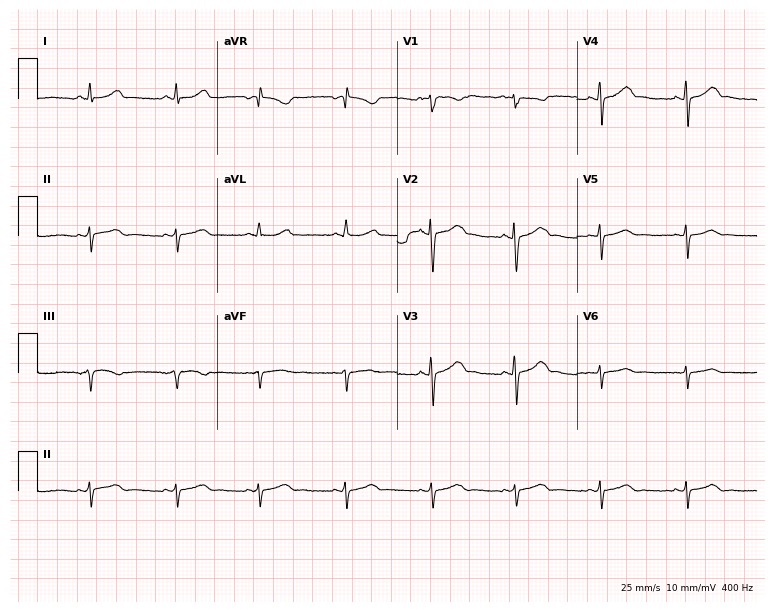
12-lead ECG from a female, 18 years old. Screened for six findings — first-degree AV block, right bundle branch block, left bundle branch block, sinus bradycardia, atrial fibrillation, sinus tachycardia — none is recorded. Only these six findings were labelled.